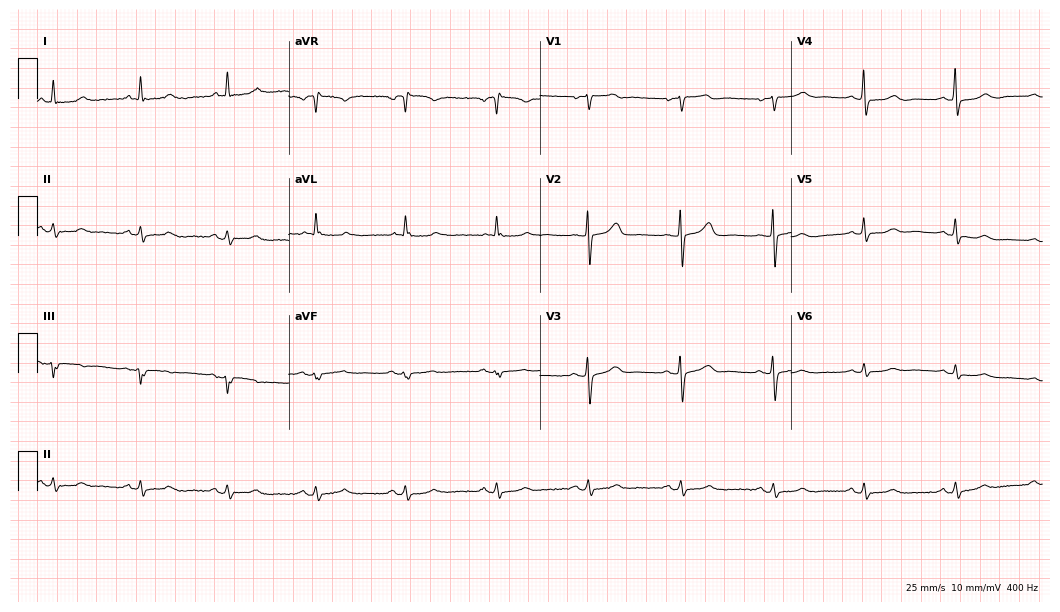
12-lead ECG from a woman, 79 years old. Screened for six findings — first-degree AV block, right bundle branch block, left bundle branch block, sinus bradycardia, atrial fibrillation, sinus tachycardia — none is recorded.